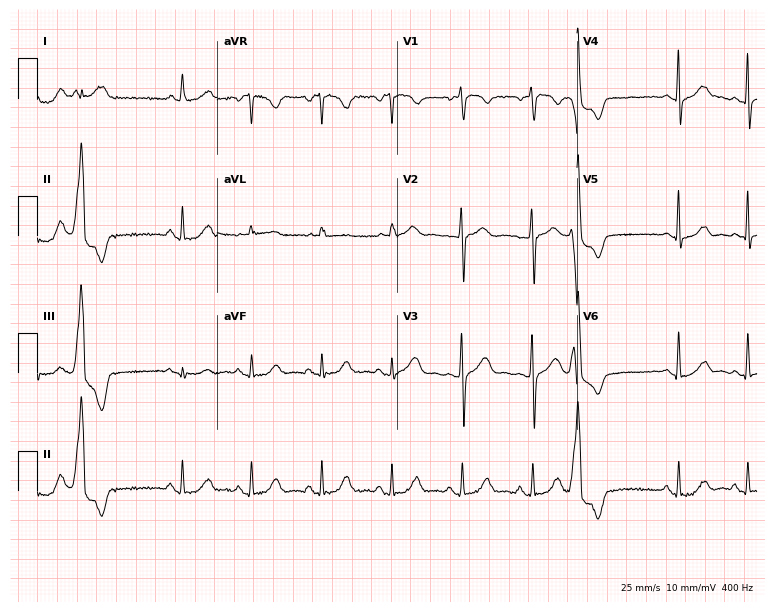
Standard 12-lead ECG recorded from a female patient, 64 years old (7.3-second recording at 400 Hz). Read as a normal ECG.